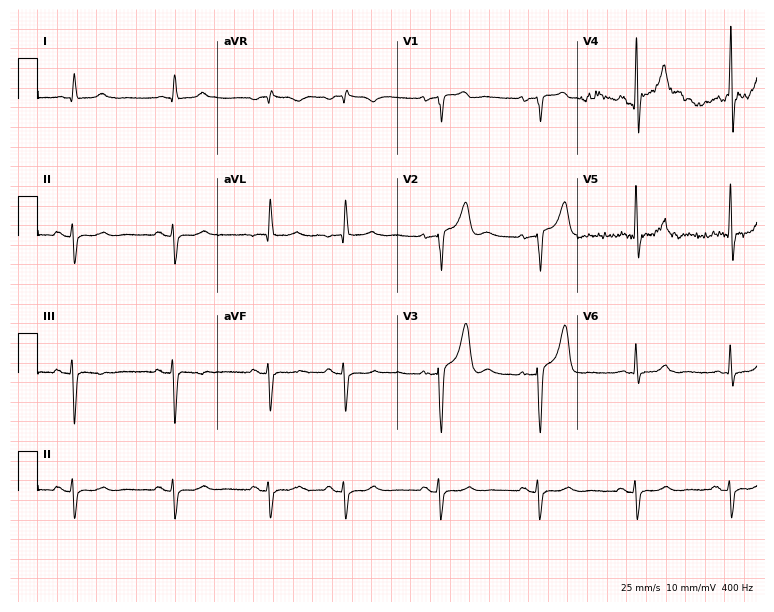
12-lead ECG from a woman, 75 years old. No first-degree AV block, right bundle branch block, left bundle branch block, sinus bradycardia, atrial fibrillation or sinus tachycardia recorded for this tracing. Only these six findings were labelled.